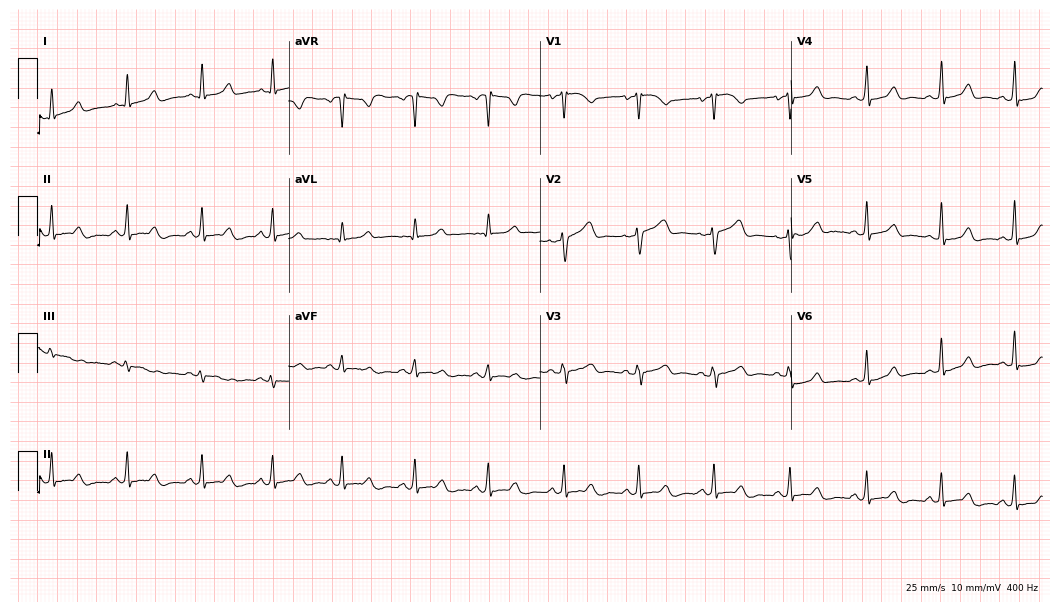
Resting 12-lead electrocardiogram. Patient: a woman, 51 years old. Read as a normal ECG.